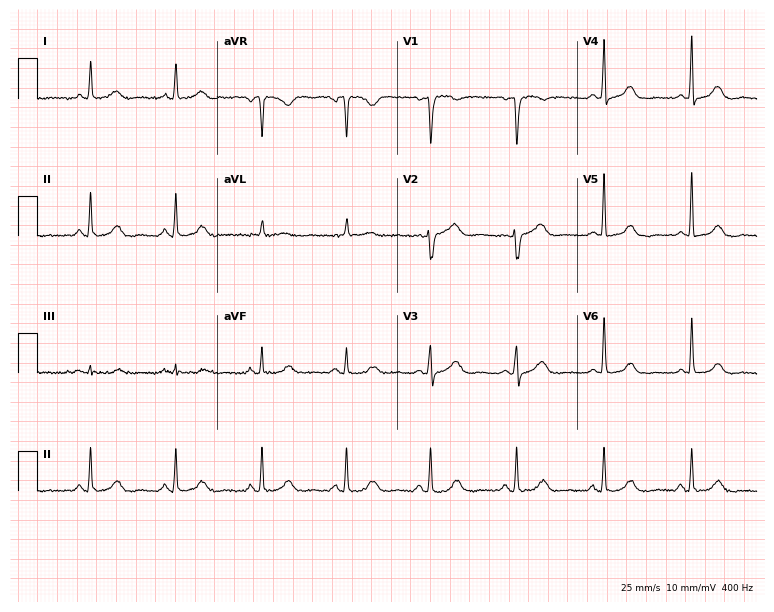
Standard 12-lead ECG recorded from a 57-year-old female (7.3-second recording at 400 Hz). Read as a normal ECG.